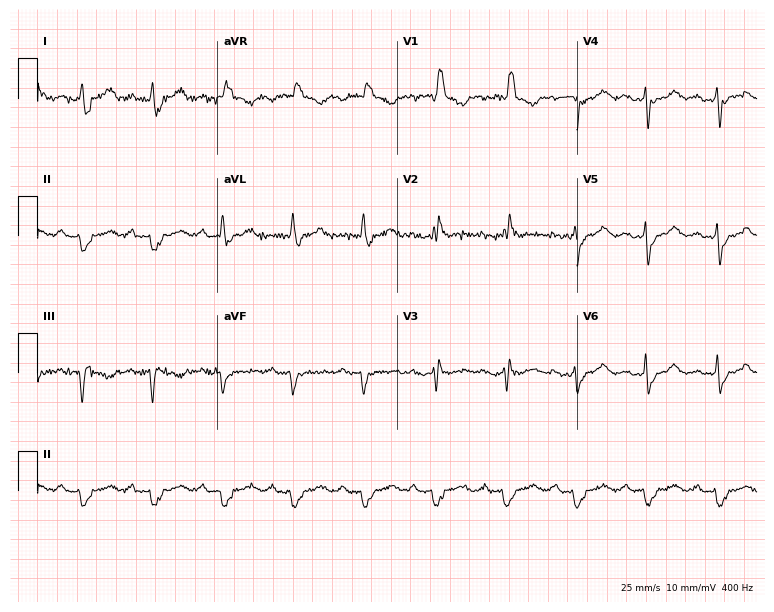
12-lead ECG from a male, 73 years old. No first-degree AV block, right bundle branch block, left bundle branch block, sinus bradycardia, atrial fibrillation or sinus tachycardia recorded for this tracing.